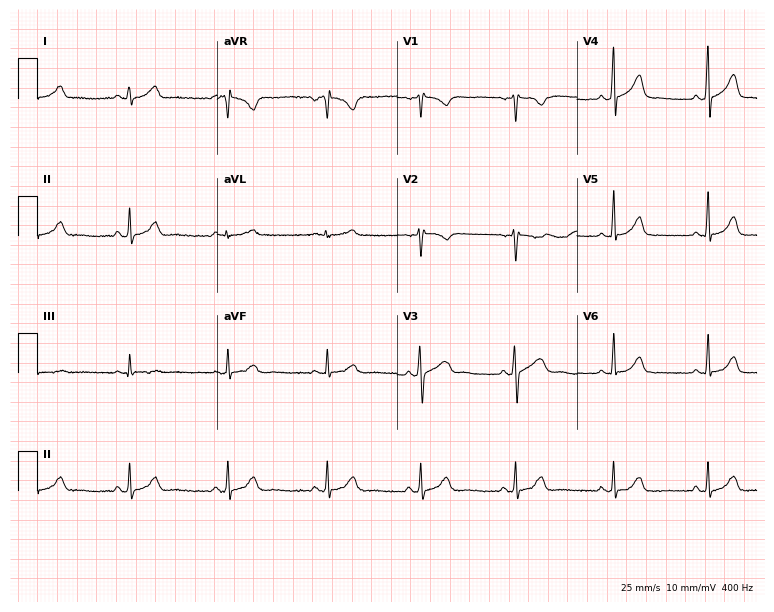
Standard 12-lead ECG recorded from a female, 34 years old (7.3-second recording at 400 Hz). None of these six findings is recorded: first-degree AV block, right bundle branch block (RBBB), left bundle branch block (LBBB), sinus bradycardia, atrial fibrillation (AF), sinus tachycardia. Other findings, if any, are not listed.